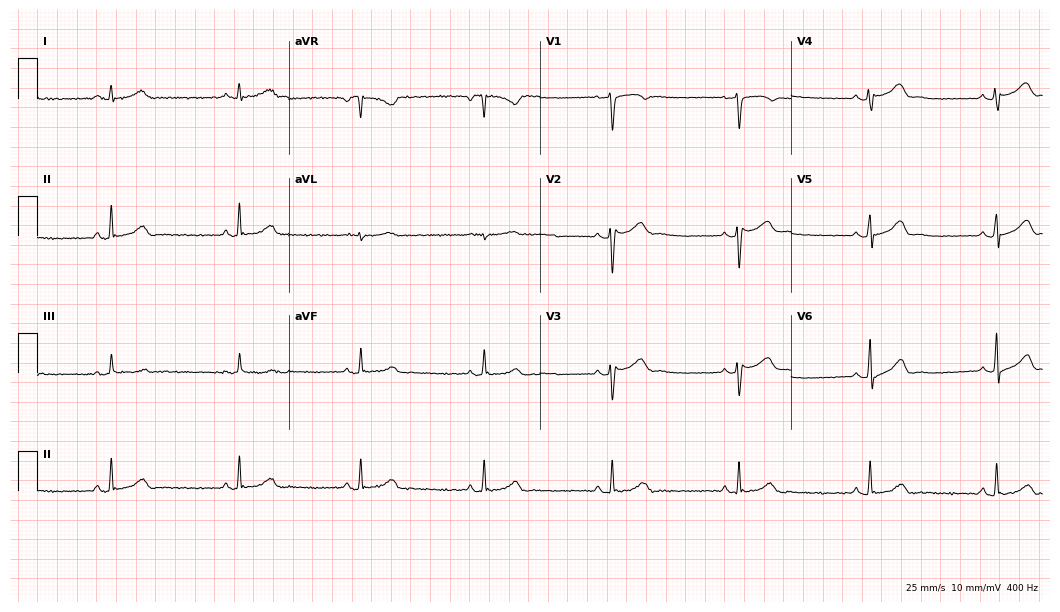
Resting 12-lead electrocardiogram. Patient: a 36-year-old woman. The tracing shows sinus bradycardia (a sinus rate of 50 beats per minute or less).